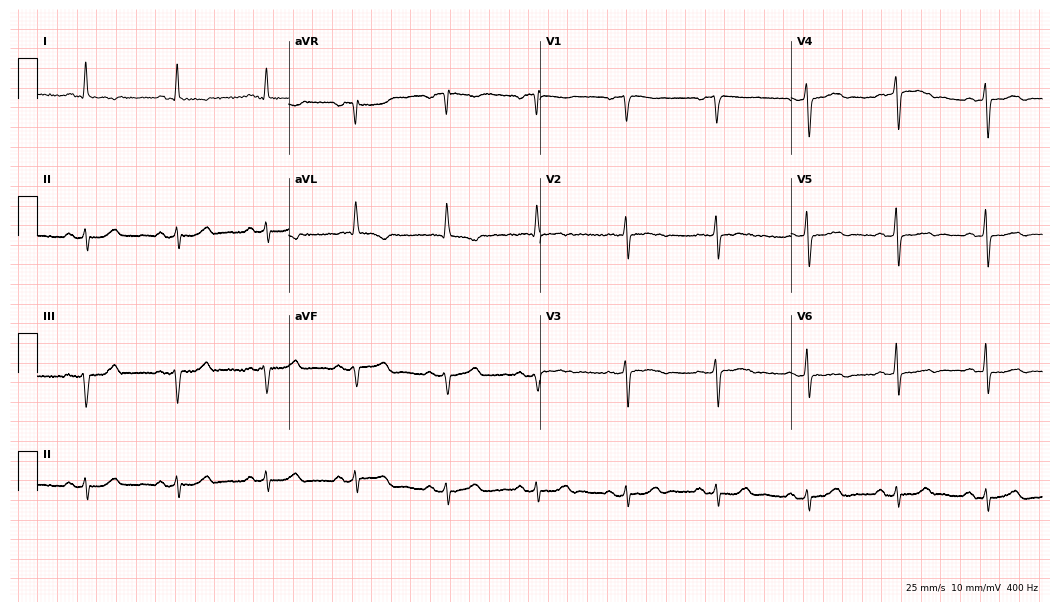
12-lead ECG (10.2-second recording at 400 Hz) from a woman, 69 years old. Screened for six findings — first-degree AV block, right bundle branch block (RBBB), left bundle branch block (LBBB), sinus bradycardia, atrial fibrillation (AF), sinus tachycardia — none is recorded.